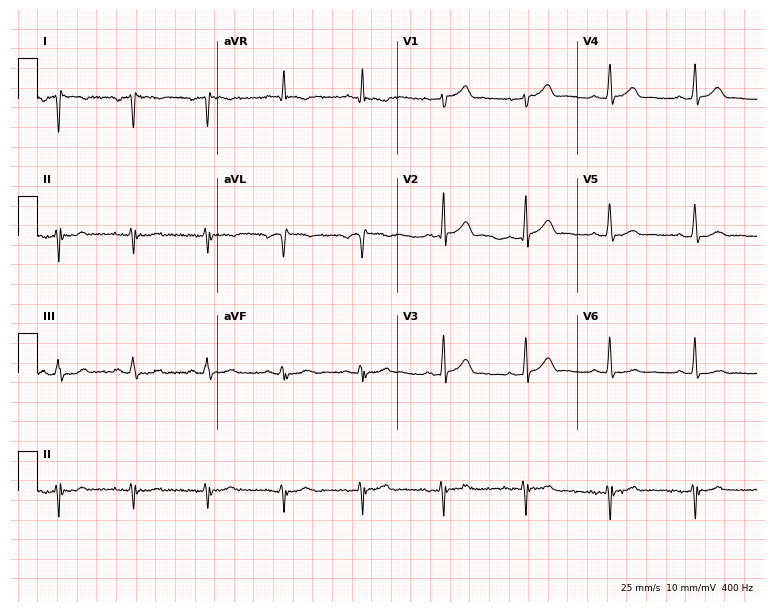
ECG — a 58-year-old male patient. Labelled as a normal ECG.